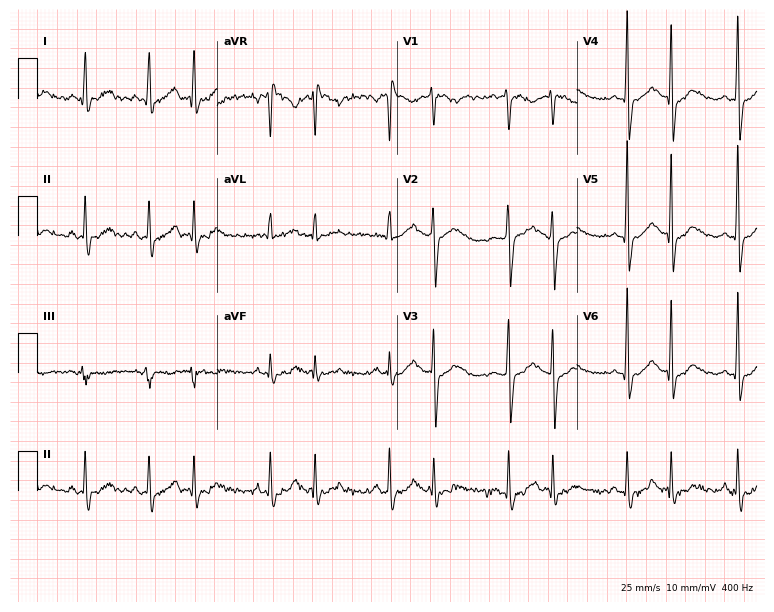
12-lead ECG (7.3-second recording at 400 Hz) from a woman, 30 years old. Screened for six findings — first-degree AV block, right bundle branch block (RBBB), left bundle branch block (LBBB), sinus bradycardia, atrial fibrillation (AF), sinus tachycardia — none is recorded. Other findings, if any, are not listed.